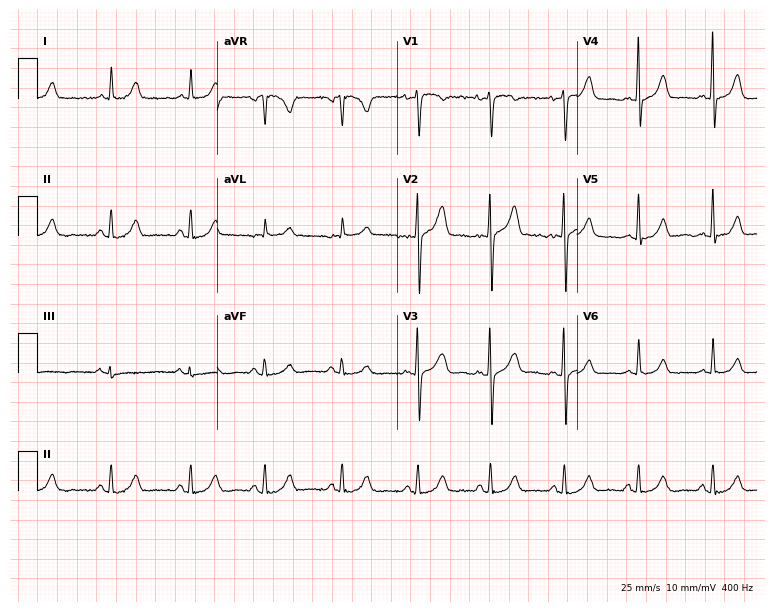
12-lead ECG from a female patient, 42 years old (7.3-second recording at 400 Hz). Recorded interpretation: within normal limits.